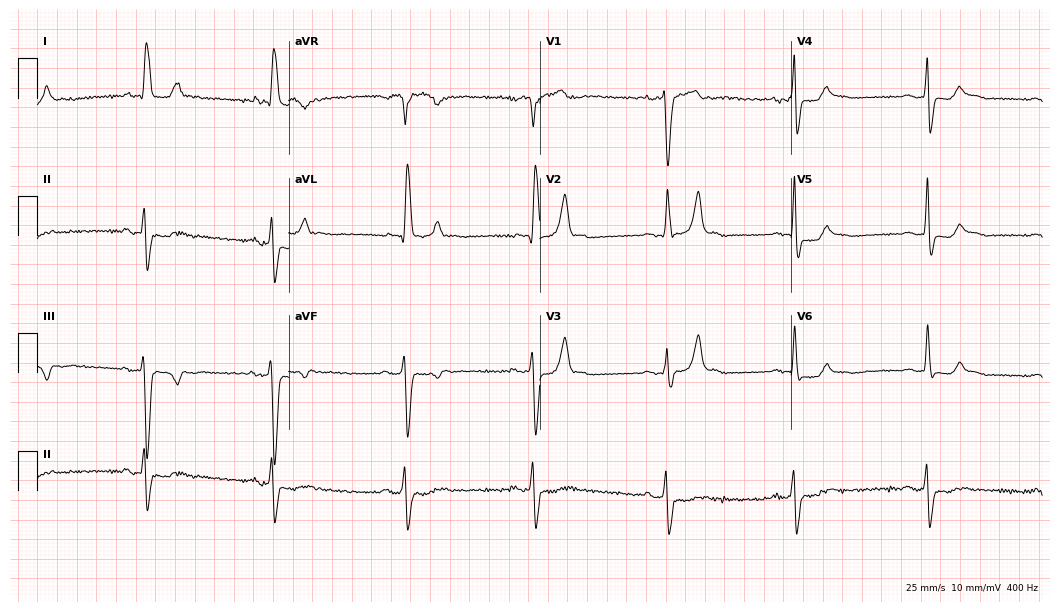
Electrocardiogram (10.2-second recording at 400 Hz), a female, 75 years old. Of the six screened findings (first-degree AV block, right bundle branch block, left bundle branch block, sinus bradycardia, atrial fibrillation, sinus tachycardia), none is recorded. Findings outside these six are not listed.